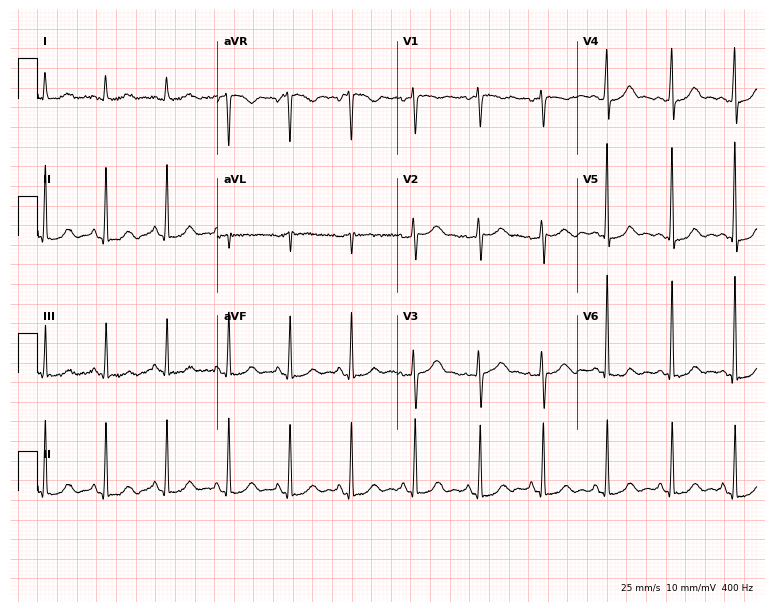
Electrocardiogram, a female patient, 61 years old. Of the six screened findings (first-degree AV block, right bundle branch block (RBBB), left bundle branch block (LBBB), sinus bradycardia, atrial fibrillation (AF), sinus tachycardia), none is recorded. Findings outside these six are not listed.